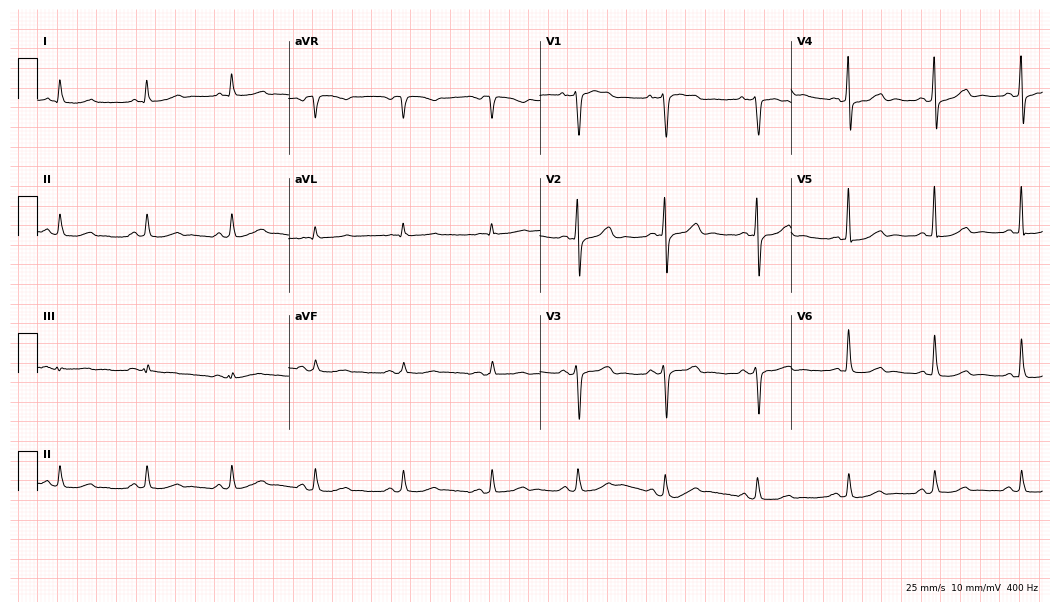
ECG — a 68-year-old man. Labelled as a normal ECG.